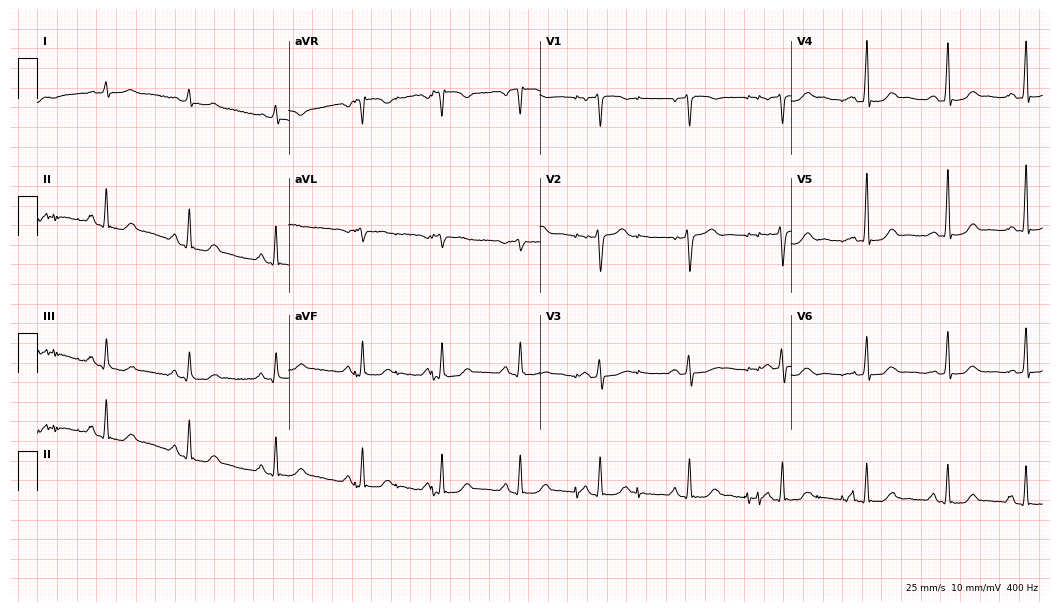
Resting 12-lead electrocardiogram. Patient: a male, 53 years old. Read as a normal ECG.